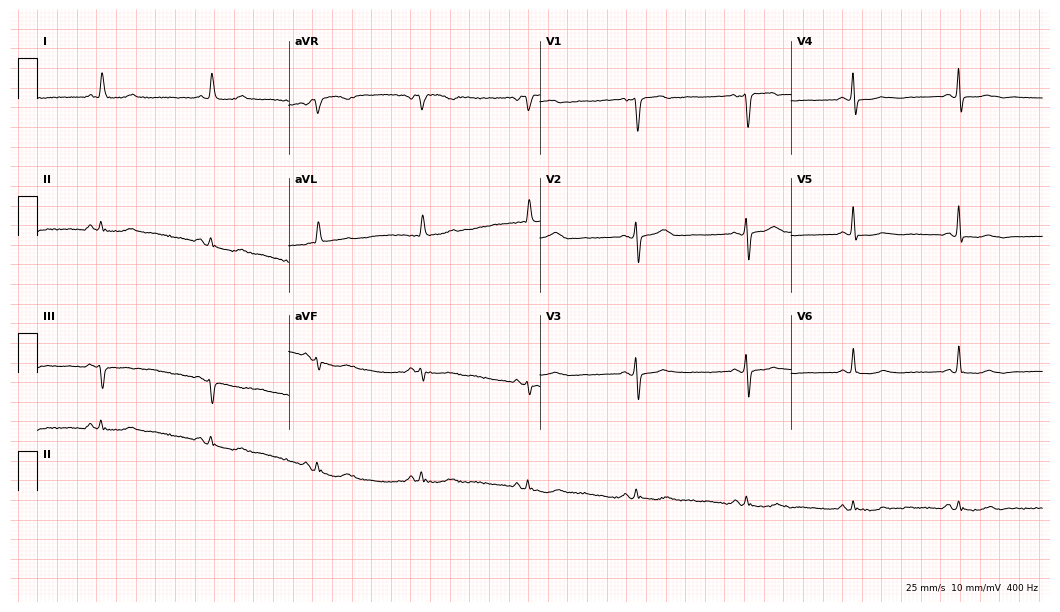
12-lead ECG from a 70-year-old female patient. No first-degree AV block, right bundle branch block, left bundle branch block, sinus bradycardia, atrial fibrillation or sinus tachycardia recorded for this tracing. Only these six findings were labelled.